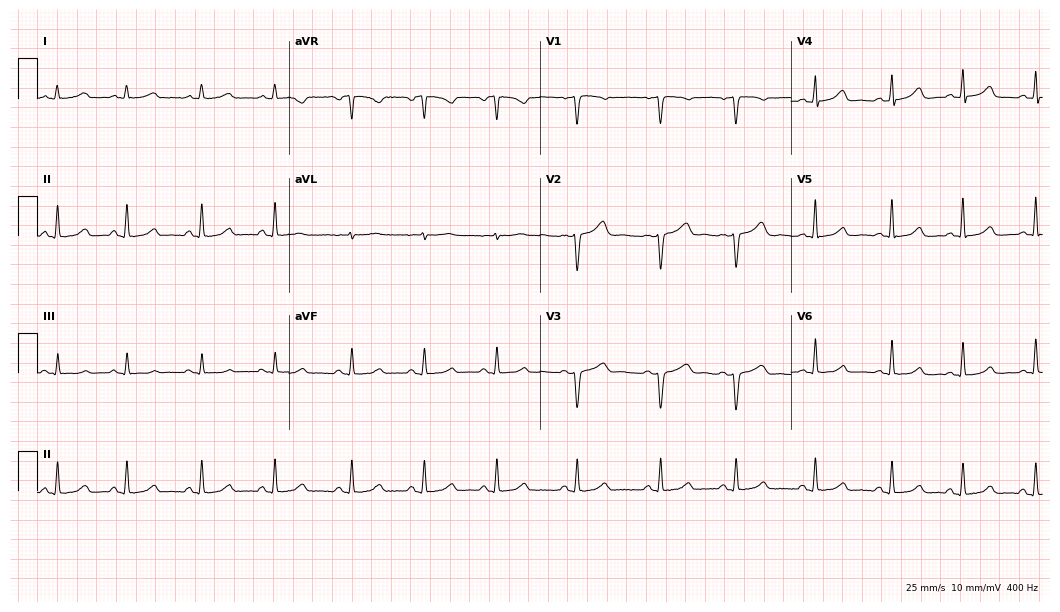
Electrocardiogram, a female patient, 53 years old. Of the six screened findings (first-degree AV block, right bundle branch block, left bundle branch block, sinus bradycardia, atrial fibrillation, sinus tachycardia), none is recorded. Only these six findings were labelled.